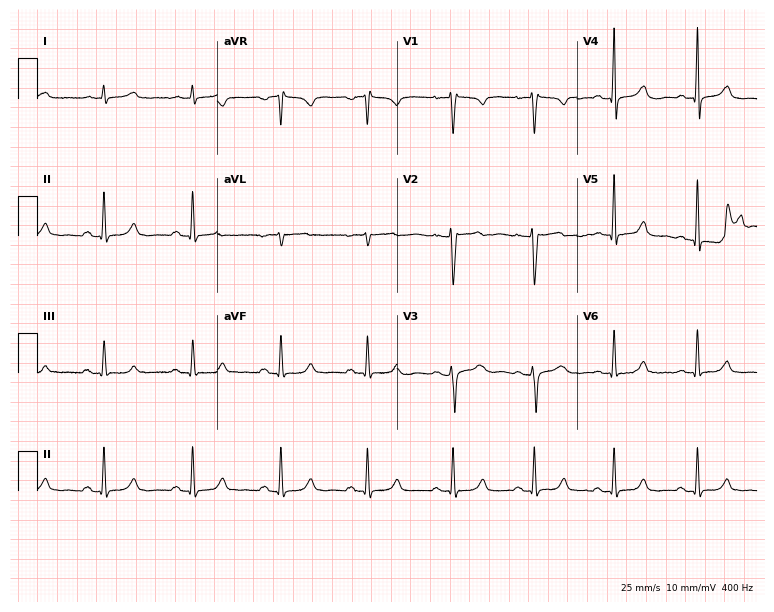
12-lead ECG (7.3-second recording at 400 Hz) from a 48-year-old female patient. Screened for six findings — first-degree AV block, right bundle branch block, left bundle branch block, sinus bradycardia, atrial fibrillation, sinus tachycardia — none is recorded. Findings outside these six are not listed.